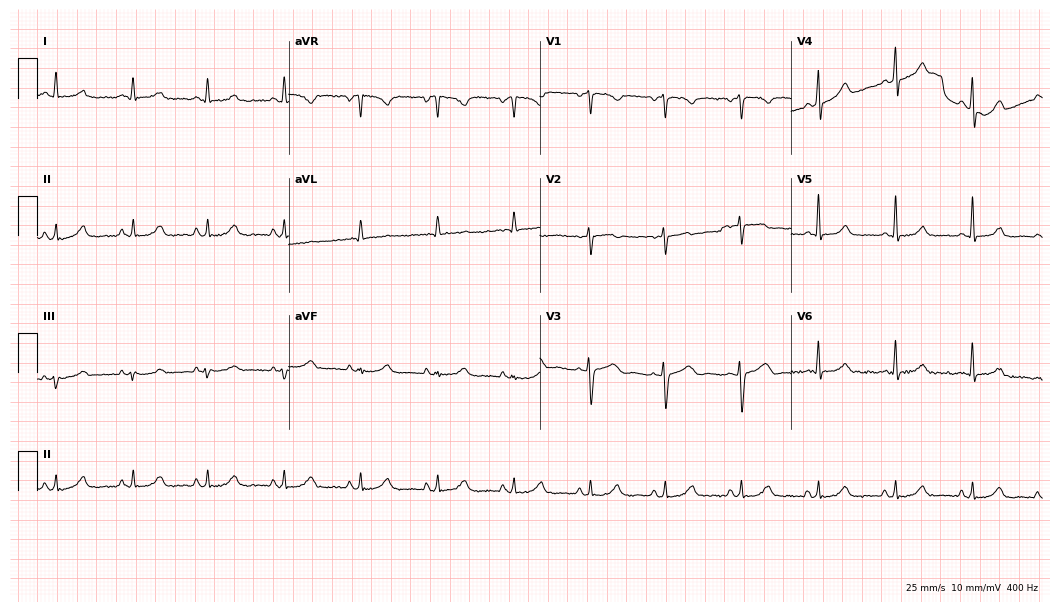
Standard 12-lead ECG recorded from a 44-year-old female patient (10.2-second recording at 400 Hz). Read as a normal ECG.